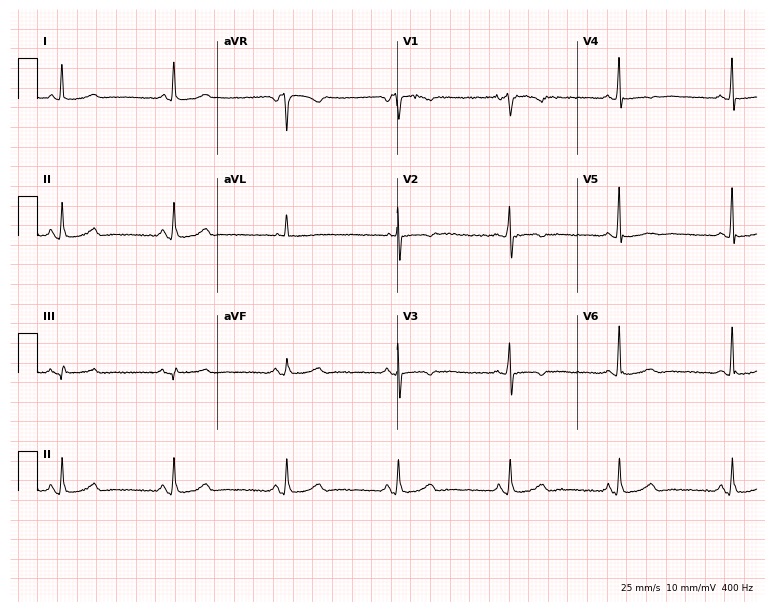
Standard 12-lead ECG recorded from a 55-year-old female. None of these six findings is recorded: first-degree AV block, right bundle branch block, left bundle branch block, sinus bradycardia, atrial fibrillation, sinus tachycardia.